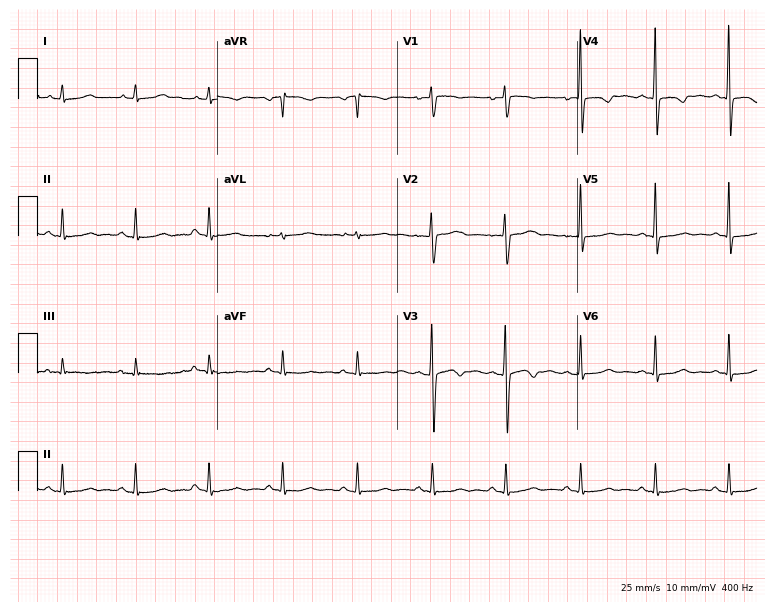
Resting 12-lead electrocardiogram. Patient: a 28-year-old female. None of these six findings is recorded: first-degree AV block, right bundle branch block, left bundle branch block, sinus bradycardia, atrial fibrillation, sinus tachycardia. Only these six findings were labelled.